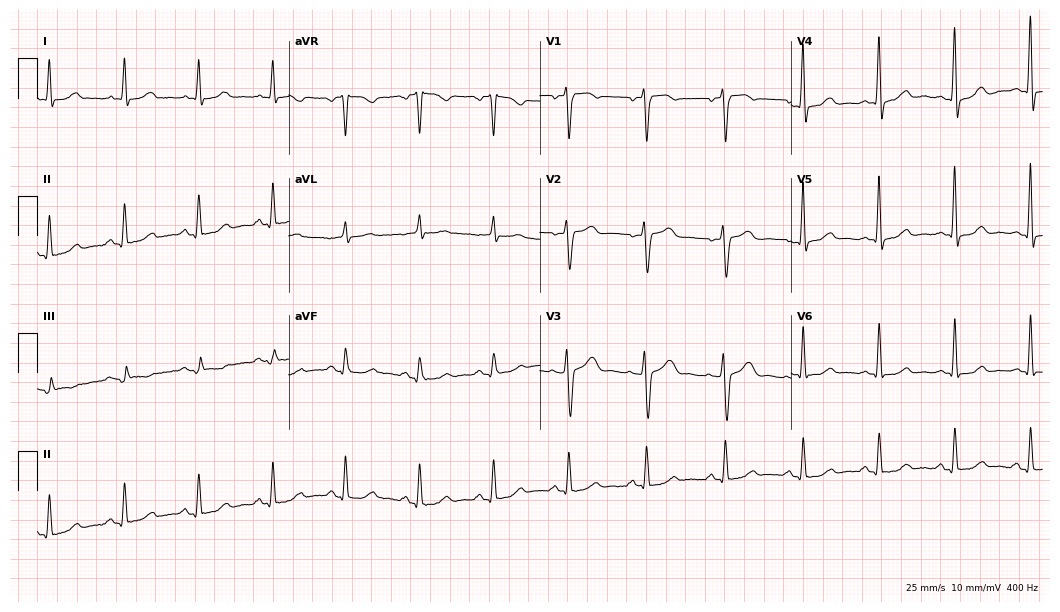
ECG (10.2-second recording at 400 Hz) — a 49-year-old woman. Screened for six findings — first-degree AV block, right bundle branch block (RBBB), left bundle branch block (LBBB), sinus bradycardia, atrial fibrillation (AF), sinus tachycardia — none is recorded. Findings outside these six are not listed.